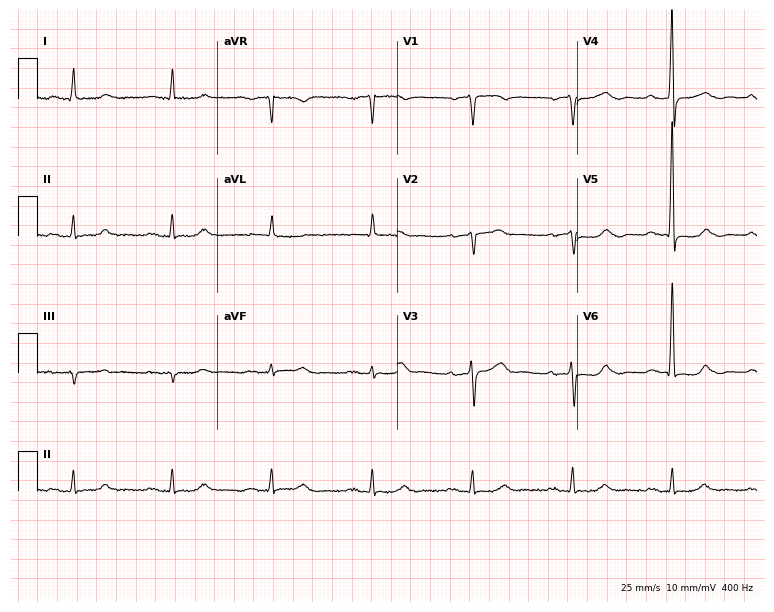
12-lead ECG (7.3-second recording at 400 Hz) from a male, 85 years old. Screened for six findings — first-degree AV block, right bundle branch block, left bundle branch block, sinus bradycardia, atrial fibrillation, sinus tachycardia — none is recorded. Findings outside these six are not listed.